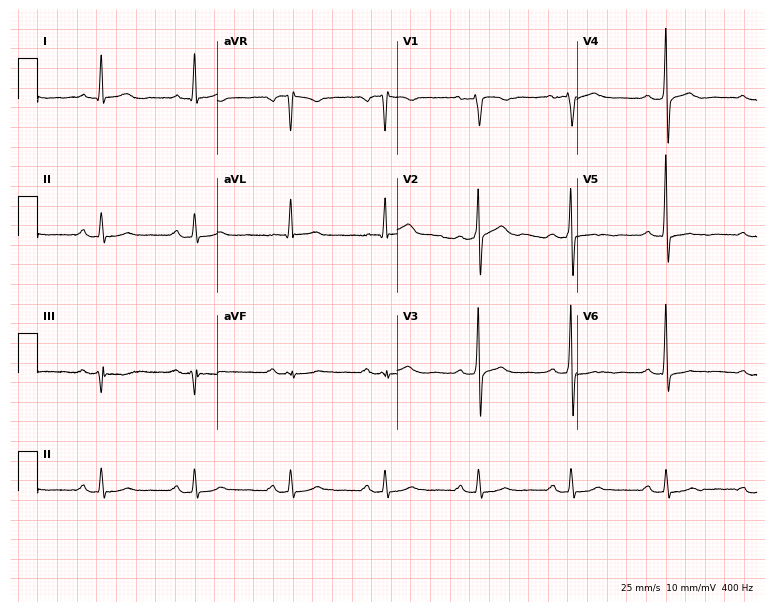
Electrocardiogram (7.3-second recording at 400 Hz), a 65-year-old male. Of the six screened findings (first-degree AV block, right bundle branch block, left bundle branch block, sinus bradycardia, atrial fibrillation, sinus tachycardia), none is recorded.